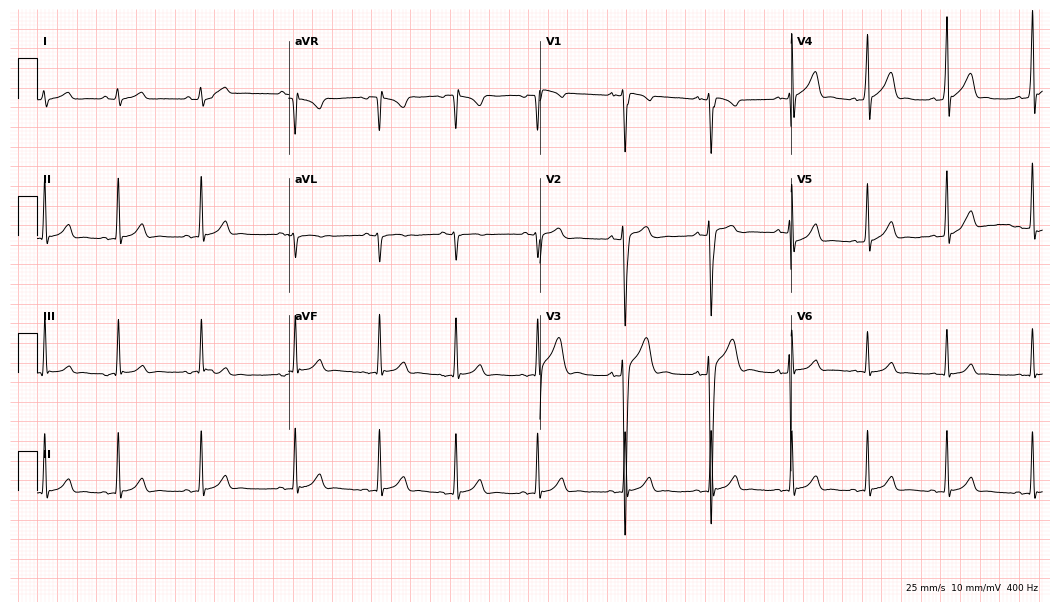
12-lead ECG from a 17-year-old male patient. Labelled as a normal ECG.